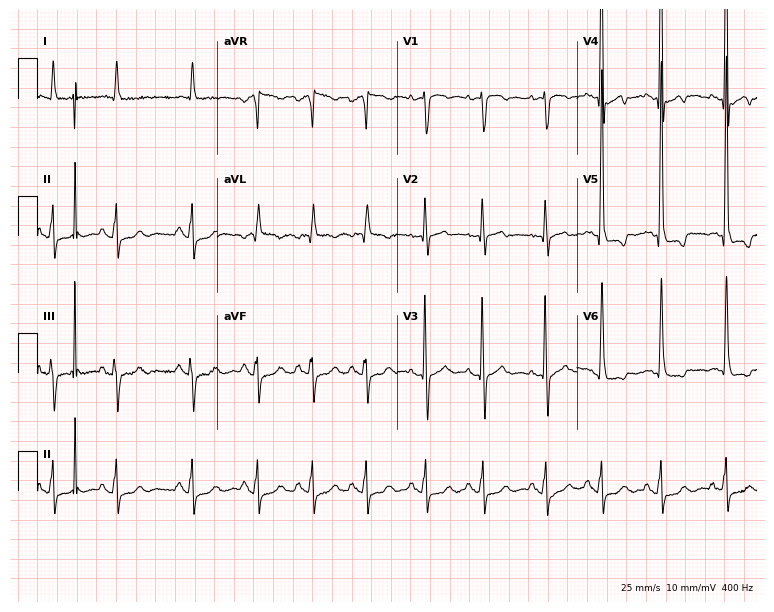
Electrocardiogram, a male, 84 years old. Of the six screened findings (first-degree AV block, right bundle branch block, left bundle branch block, sinus bradycardia, atrial fibrillation, sinus tachycardia), none is recorded. Only these six findings were labelled.